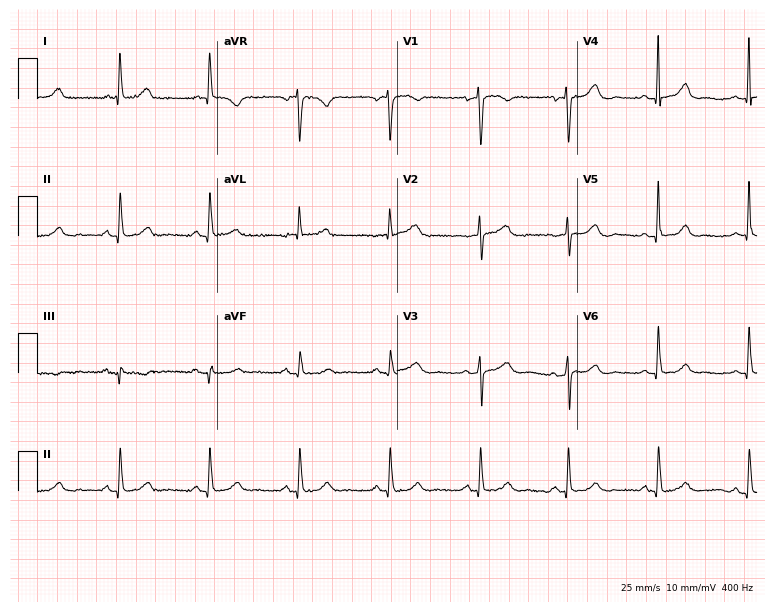
ECG (7.3-second recording at 400 Hz) — a woman, 66 years old. Labelled as a normal ECG.